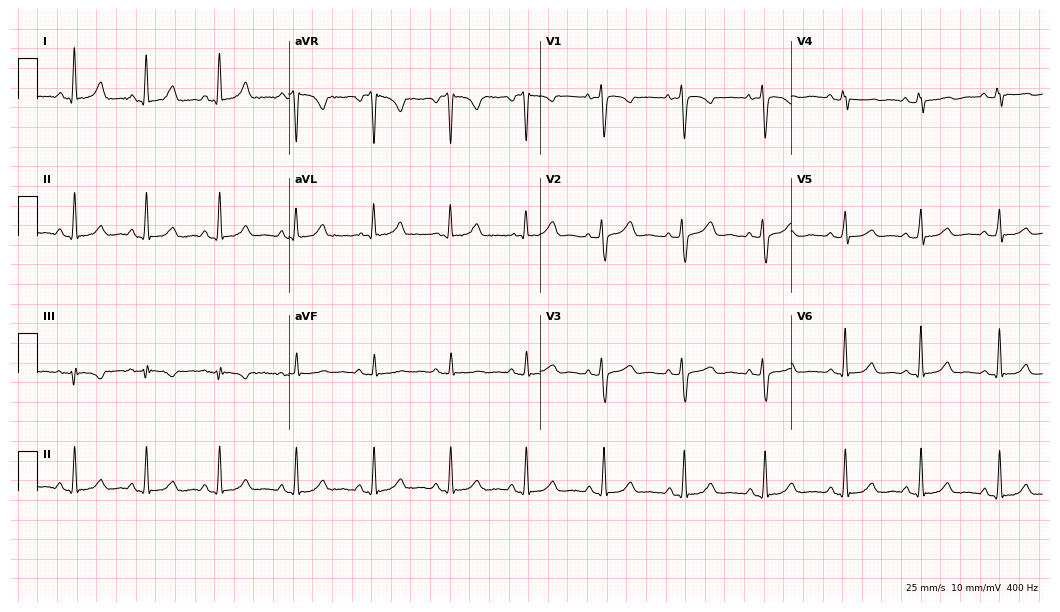
12-lead ECG from a woman, 28 years old (10.2-second recording at 400 Hz). No first-degree AV block, right bundle branch block, left bundle branch block, sinus bradycardia, atrial fibrillation or sinus tachycardia recorded for this tracing.